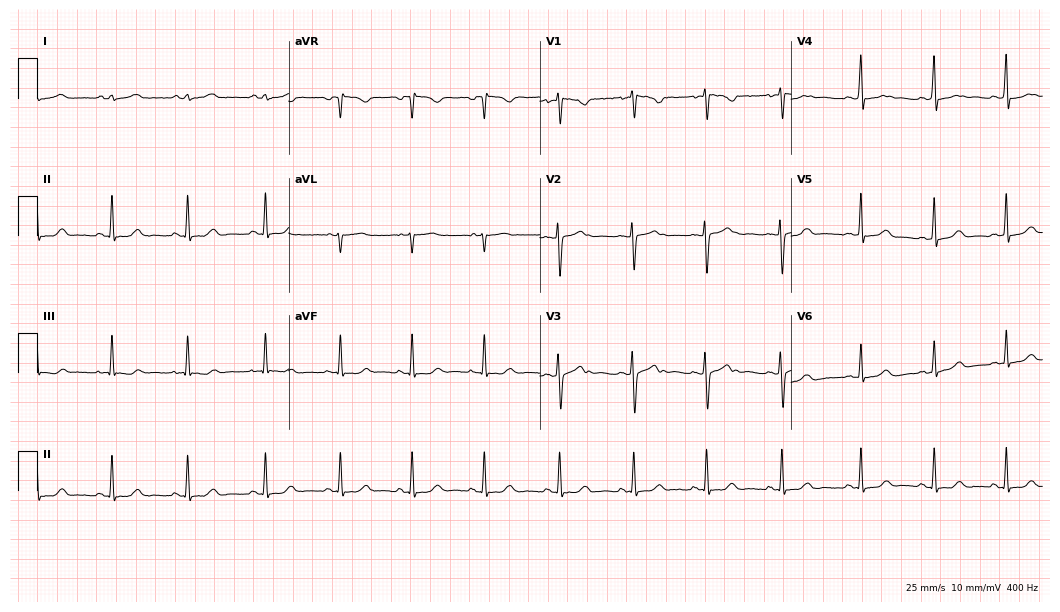
12-lead ECG from a 21-year-old female patient. Recorded interpretation: within normal limits.